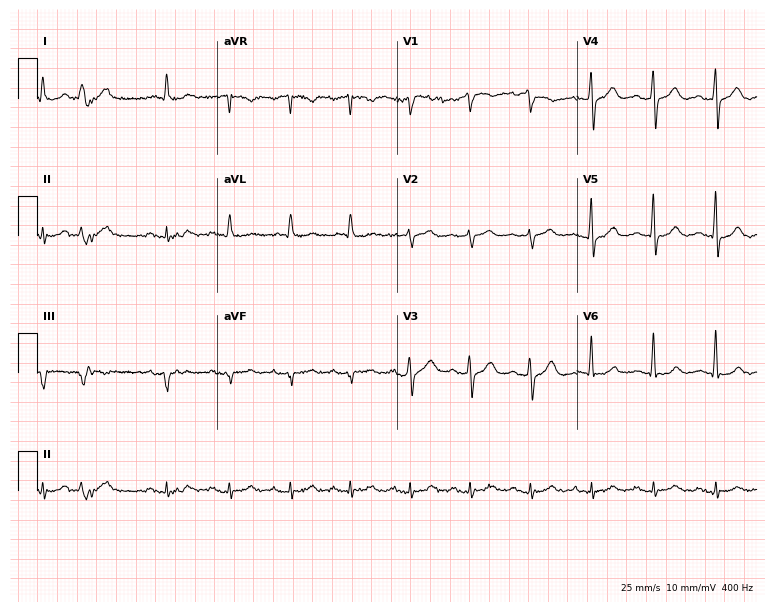
12-lead ECG from a male, 73 years old. No first-degree AV block, right bundle branch block (RBBB), left bundle branch block (LBBB), sinus bradycardia, atrial fibrillation (AF) or sinus tachycardia recorded for this tracing.